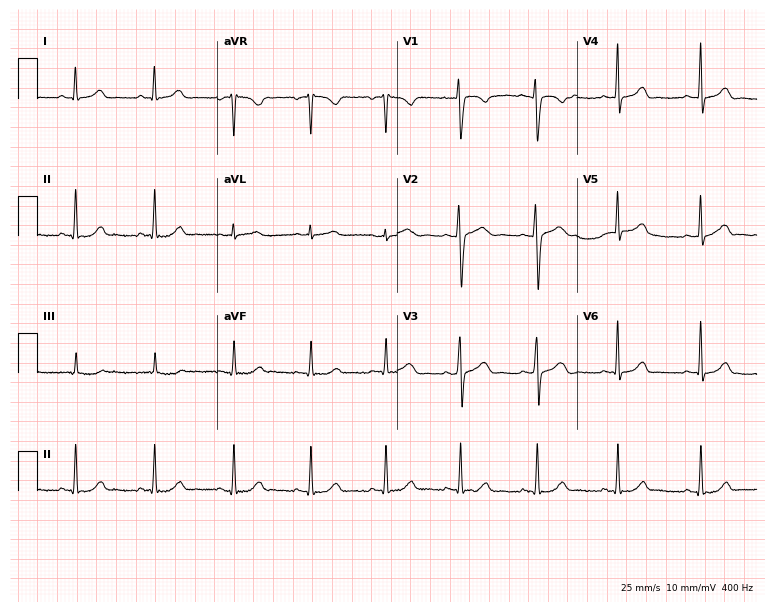
Electrocardiogram (7.3-second recording at 400 Hz), a woman, 30 years old. Overall reading on record: normal ECG.